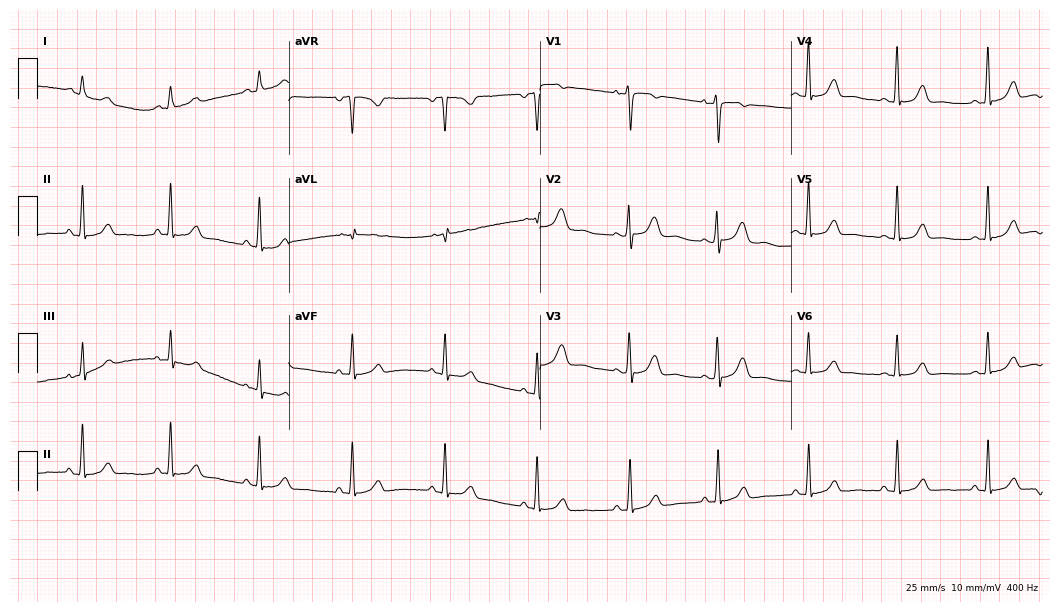
12-lead ECG from a woman, 41 years old. Labelled as a normal ECG.